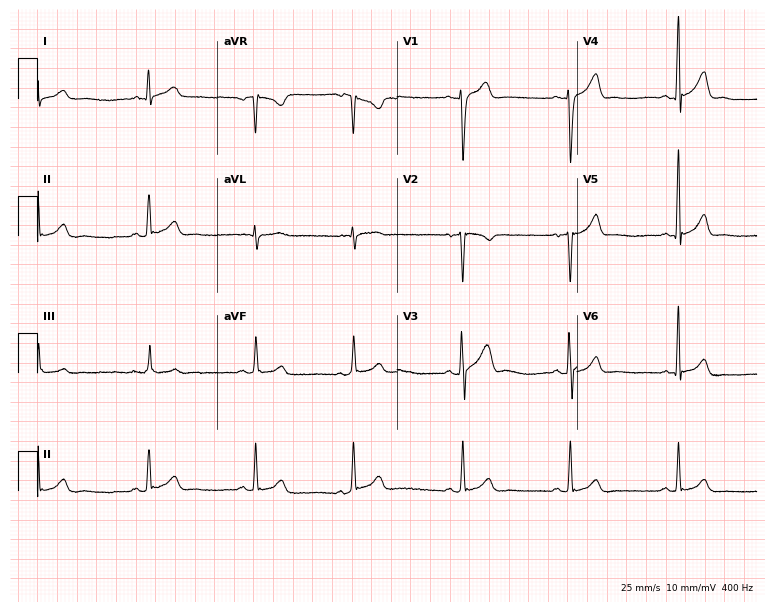
Resting 12-lead electrocardiogram. Patient: a 22-year-old male. Read as a normal ECG.